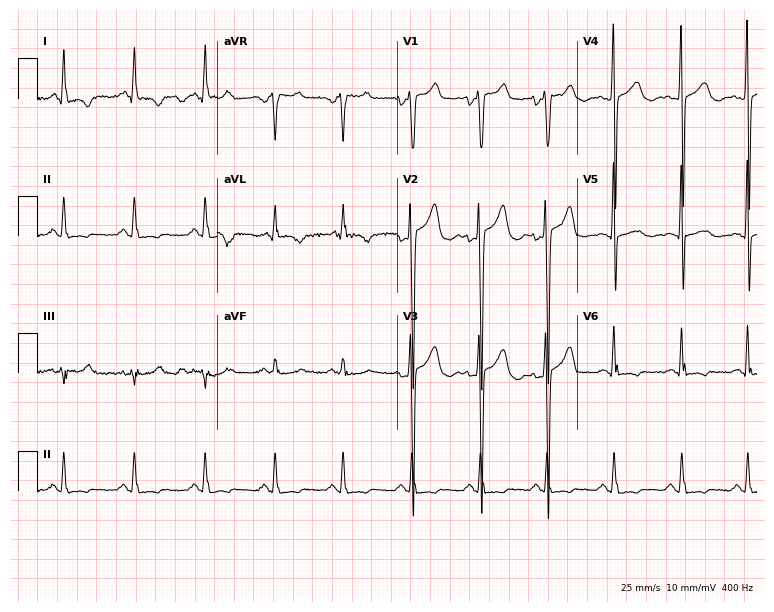
Resting 12-lead electrocardiogram. Patient: a female, 27 years old. None of these six findings is recorded: first-degree AV block, right bundle branch block, left bundle branch block, sinus bradycardia, atrial fibrillation, sinus tachycardia.